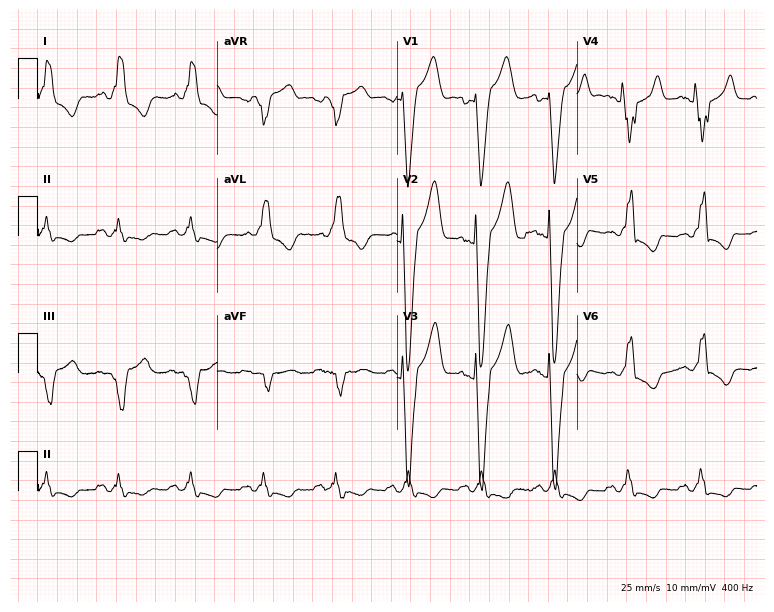
Resting 12-lead electrocardiogram. Patient: a male, 64 years old. None of these six findings is recorded: first-degree AV block, right bundle branch block, left bundle branch block, sinus bradycardia, atrial fibrillation, sinus tachycardia. Only these six findings were labelled.